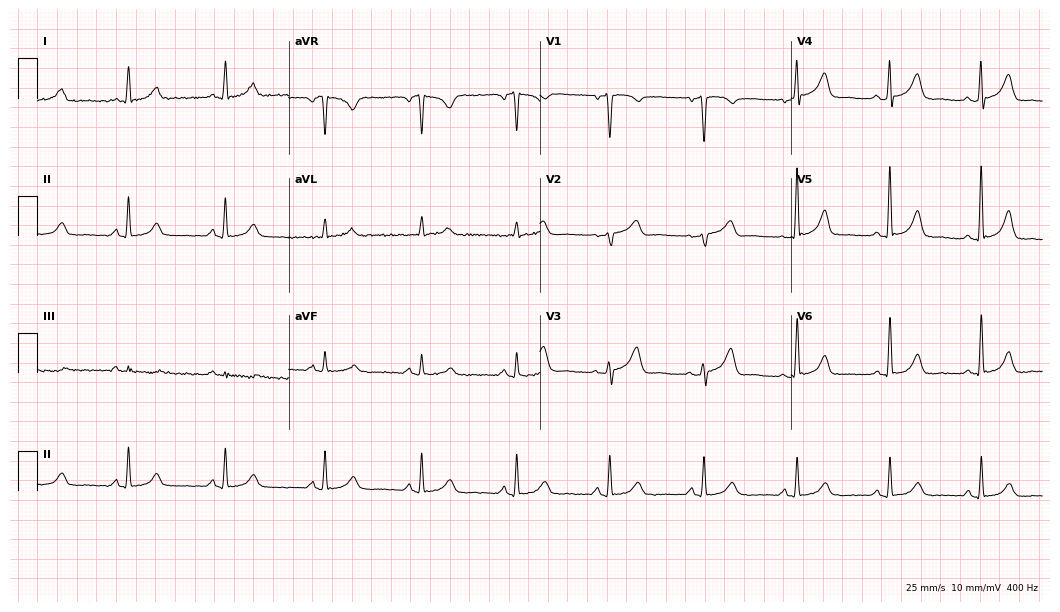
ECG (10.2-second recording at 400 Hz) — a 73-year-old female patient. Labelled as a normal ECG.